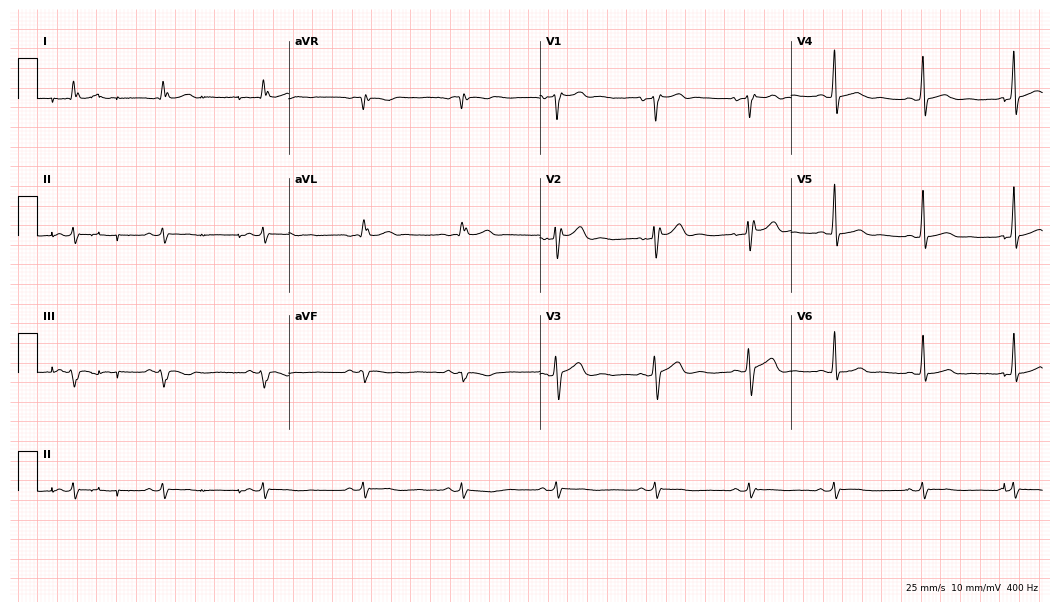
ECG — a 23-year-old male. Screened for six findings — first-degree AV block, right bundle branch block (RBBB), left bundle branch block (LBBB), sinus bradycardia, atrial fibrillation (AF), sinus tachycardia — none is recorded.